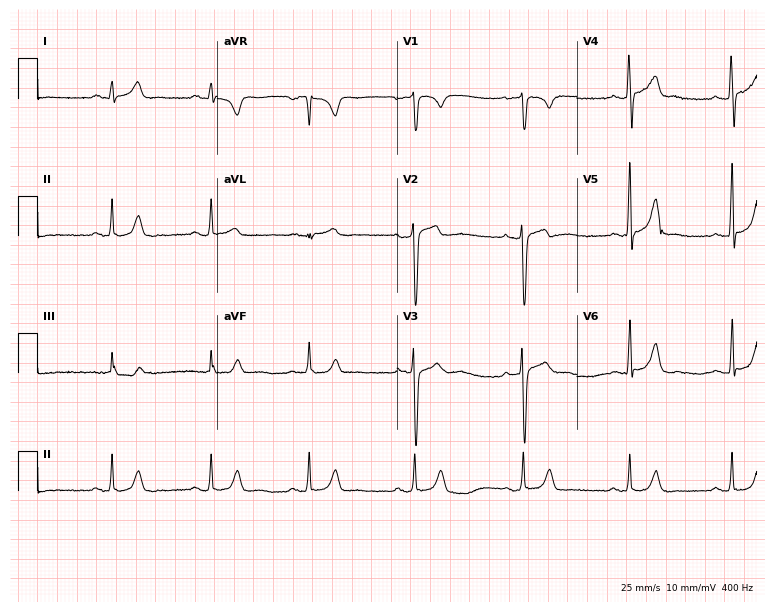
Resting 12-lead electrocardiogram. Patient: a 20-year-old man. Read as a normal ECG.